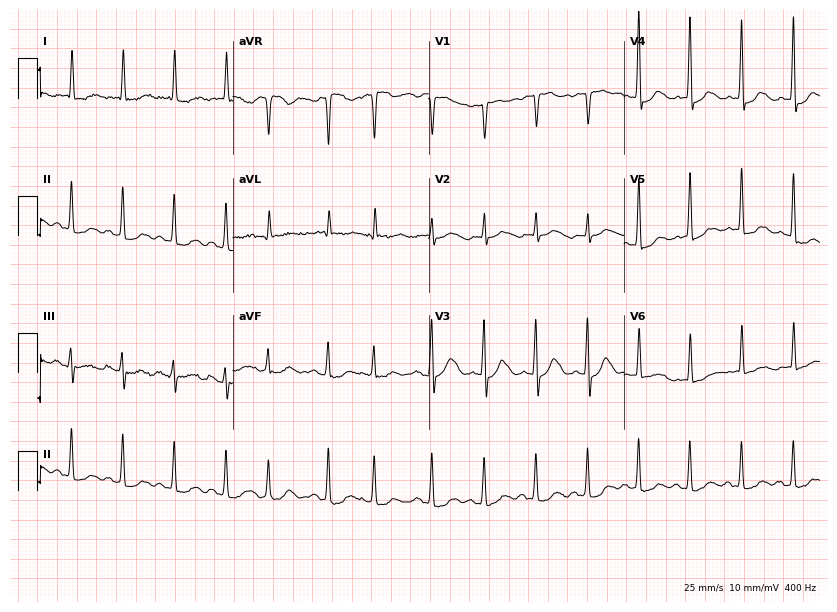
12-lead ECG from a female patient, 78 years old (8-second recording at 400 Hz). Shows atrial fibrillation, sinus tachycardia (a sinus rate of 100 beats per minute or more).